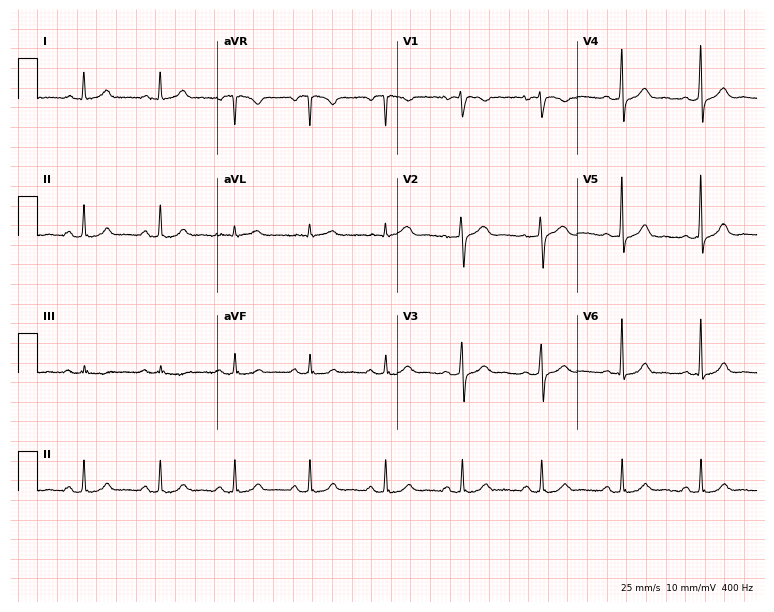
Resting 12-lead electrocardiogram. Patient: a female, 43 years old. None of these six findings is recorded: first-degree AV block, right bundle branch block, left bundle branch block, sinus bradycardia, atrial fibrillation, sinus tachycardia. Other findings, if any, are not listed.